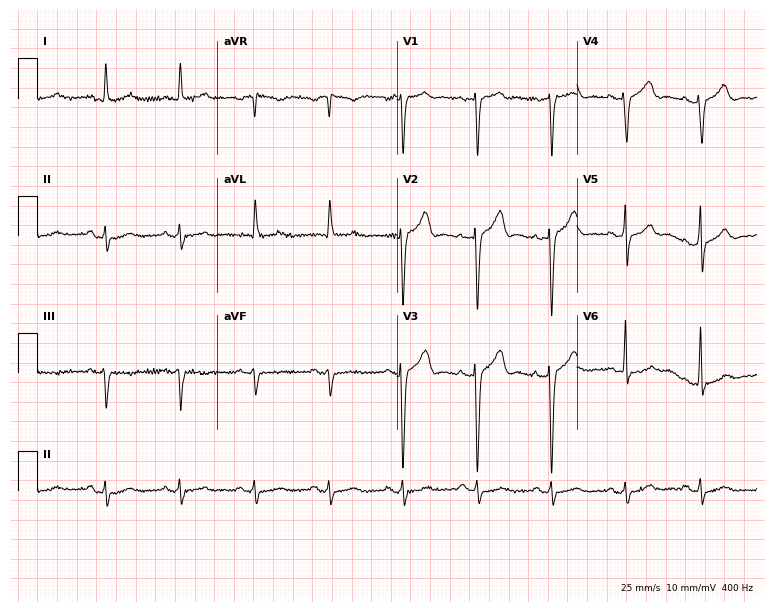
Resting 12-lead electrocardiogram (7.3-second recording at 400 Hz). Patient: a 75-year-old man. None of these six findings is recorded: first-degree AV block, right bundle branch block (RBBB), left bundle branch block (LBBB), sinus bradycardia, atrial fibrillation (AF), sinus tachycardia. Other findings, if any, are not listed.